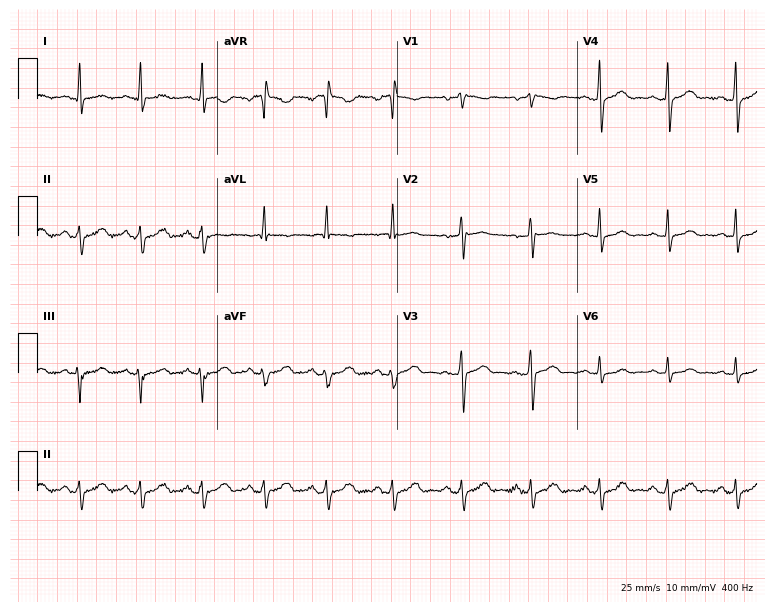
ECG (7.3-second recording at 400 Hz) — a 46-year-old male patient. Screened for six findings — first-degree AV block, right bundle branch block, left bundle branch block, sinus bradycardia, atrial fibrillation, sinus tachycardia — none is recorded. Other findings, if any, are not listed.